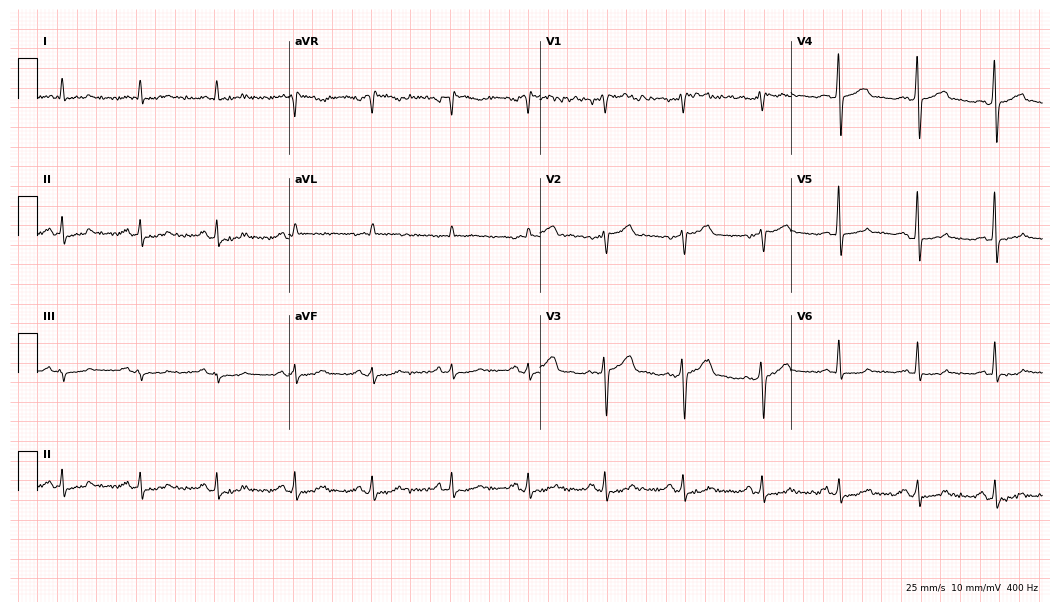
ECG (10.2-second recording at 400 Hz) — a man, 62 years old. Screened for six findings — first-degree AV block, right bundle branch block, left bundle branch block, sinus bradycardia, atrial fibrillation, sinus tachycardia — none is recorded. Findings outside these six are not listed.